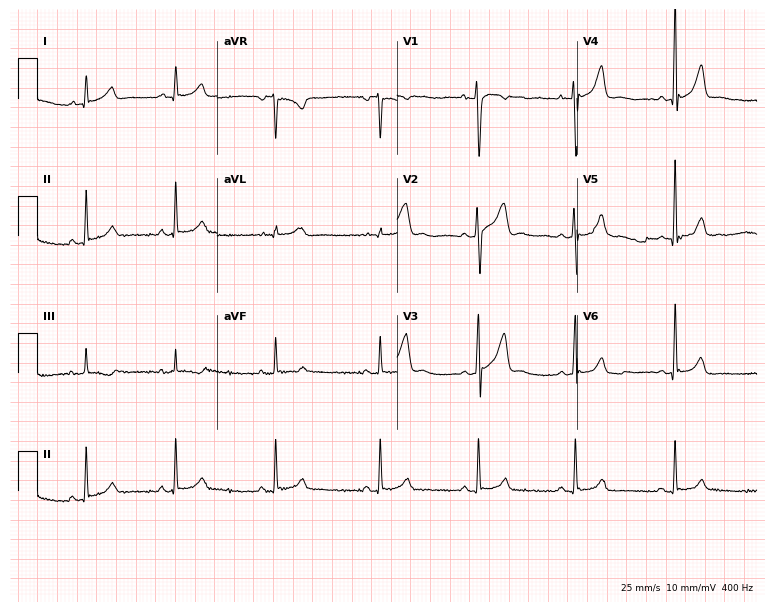
Electrocardiogram (7.3-second recording at 400 Hz), a man, 19 years old. Overall reading on record: normal ECG.